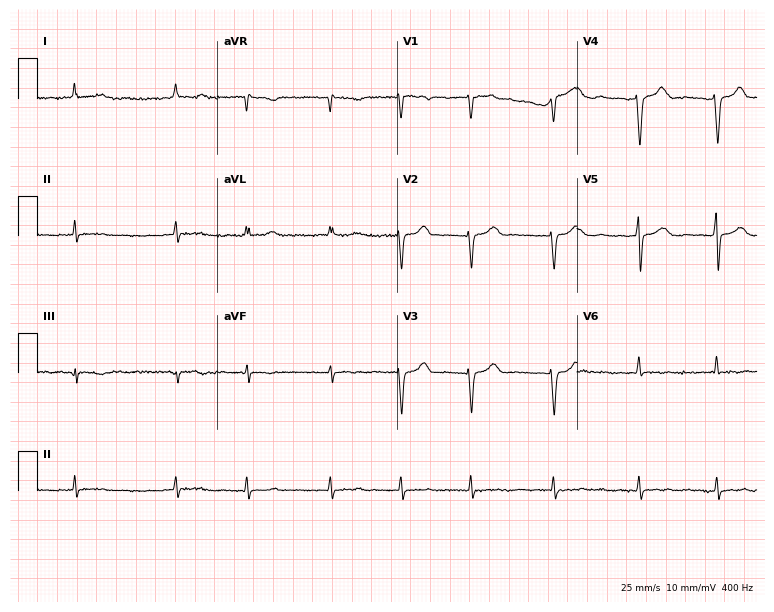
ECG — a 59-year-old female. Findings include atrial fibrillation.